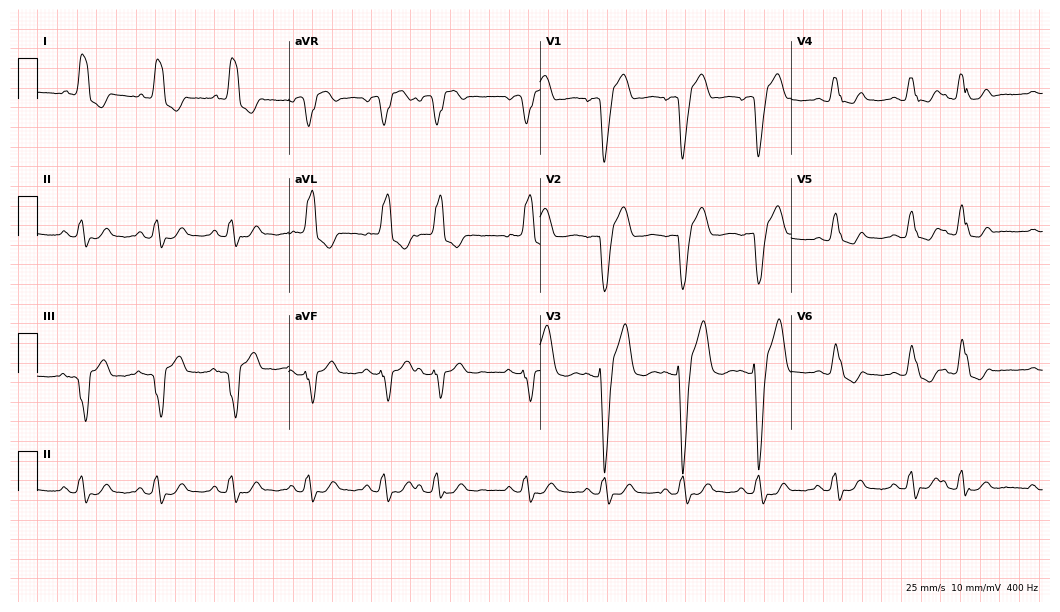
12-lead ECG from a female patient, 72 years old (10.2-second recording at 400 Hz). Shows left bundle branch block.